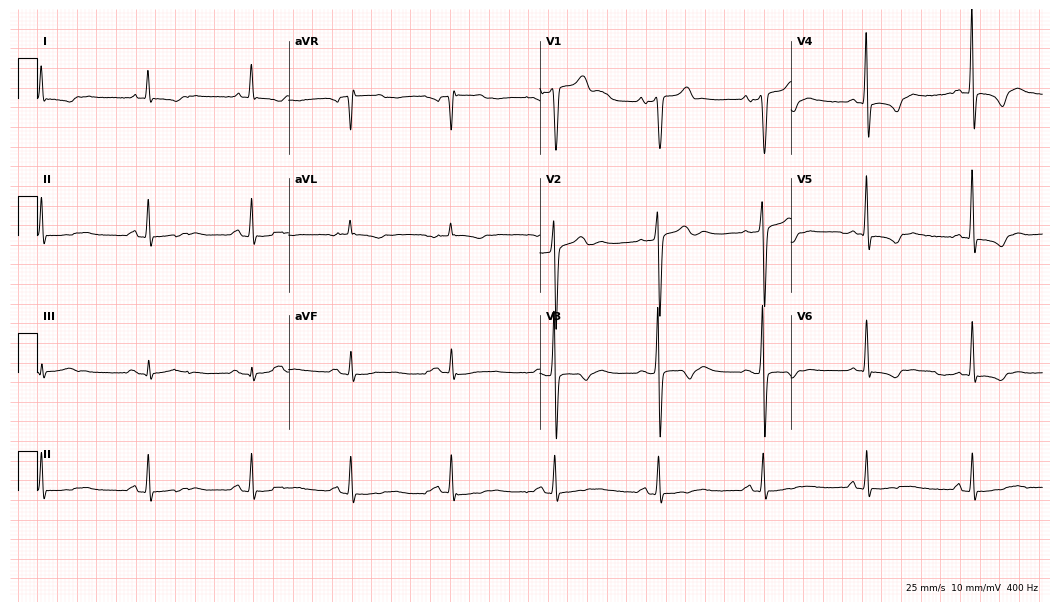
Resting 12-lead electrocardiogram. Patient: a male, 72 years old. None of these six findings is recorded: first-degree AV block, right bundle branch block, left bundle branch block, sinus bradycardia, atrial fibrillation, sinus tachycardia.